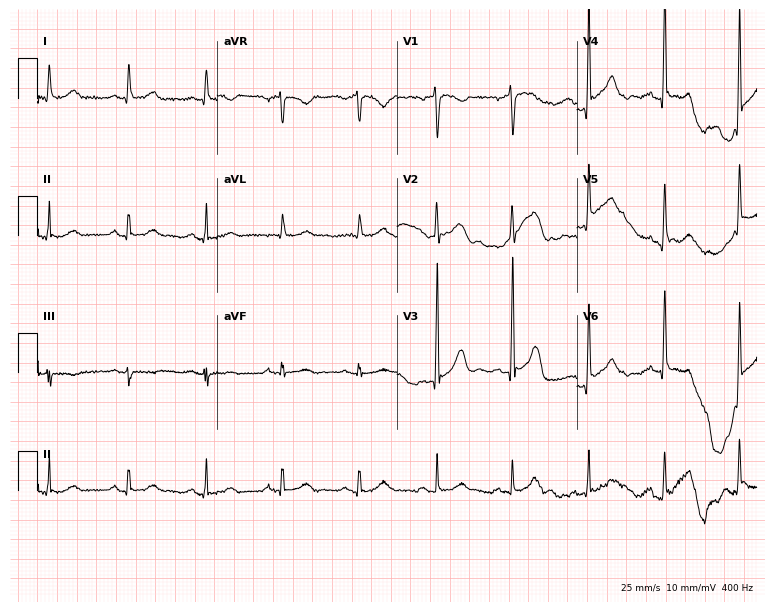
12-lead ECG from a man, 59 years old (7.3-second recording at 400 Hz). No first-degree AV block, right bundle branch block, left bundle branch block, sinus bradycardia, atrial fibrillation or sinus tachycardia recorded for this tracing.